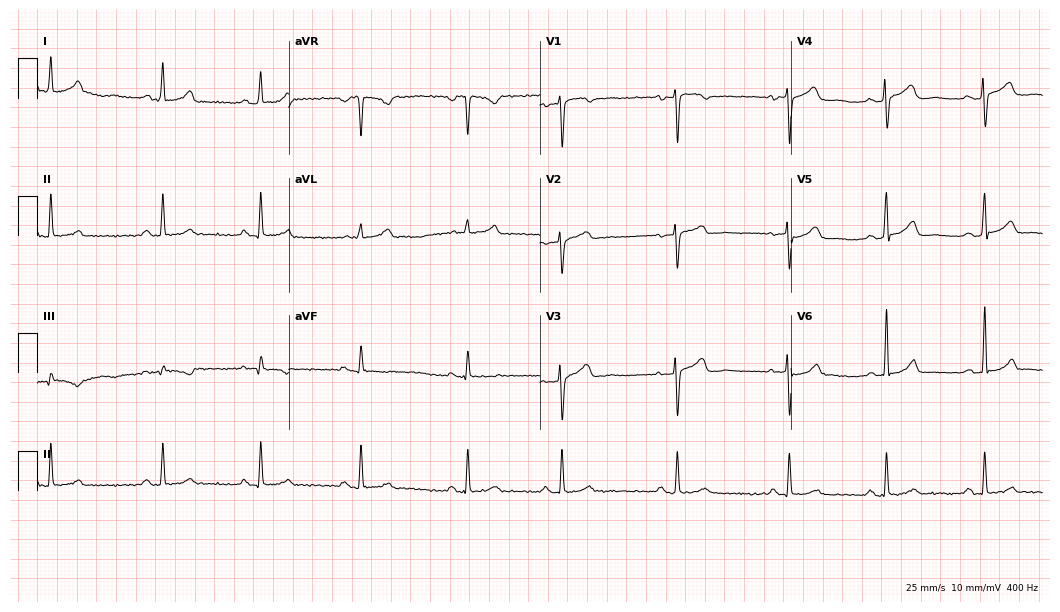
Electrocardiogram, a female, 32 years old. Overall reading on record: normal ECG.